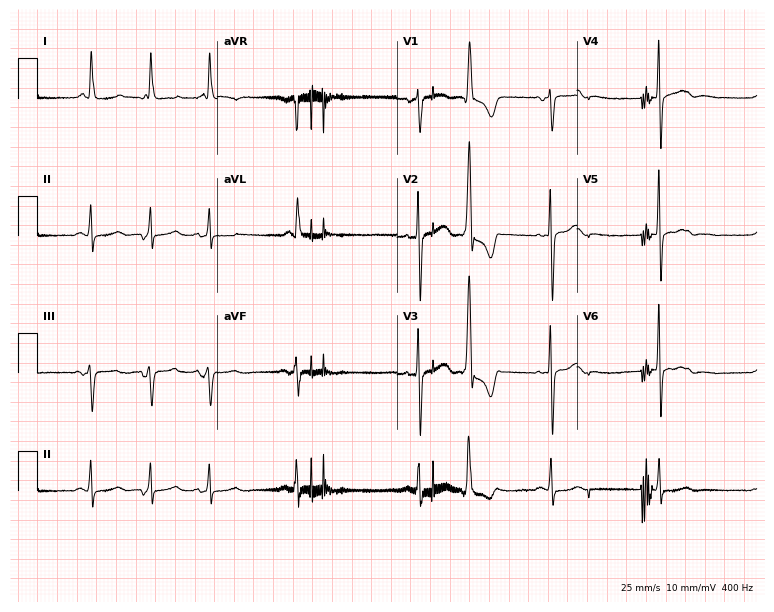
Resting 12-lead electrocardiogram. Patient: a male, 82 years old. None of these six findings is recorded: first-degree AV block, right bundle branch block, left bundle branch block, sinus bradycardia, atrial fibrillation, sinus tachycardia. Findings outside these six are not listed.